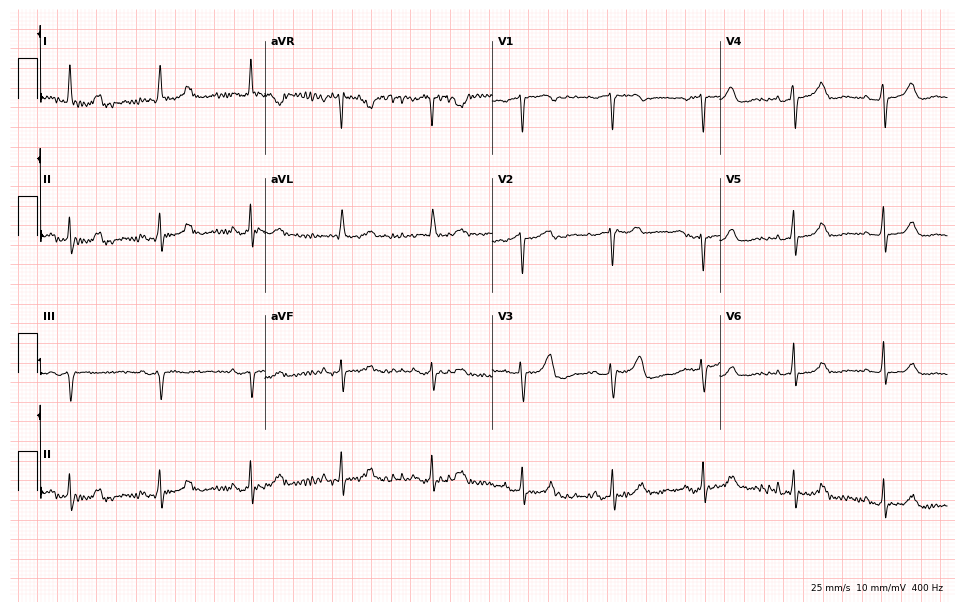
ECG — a female patient, 83 years old. Labelled as a normal ECG.